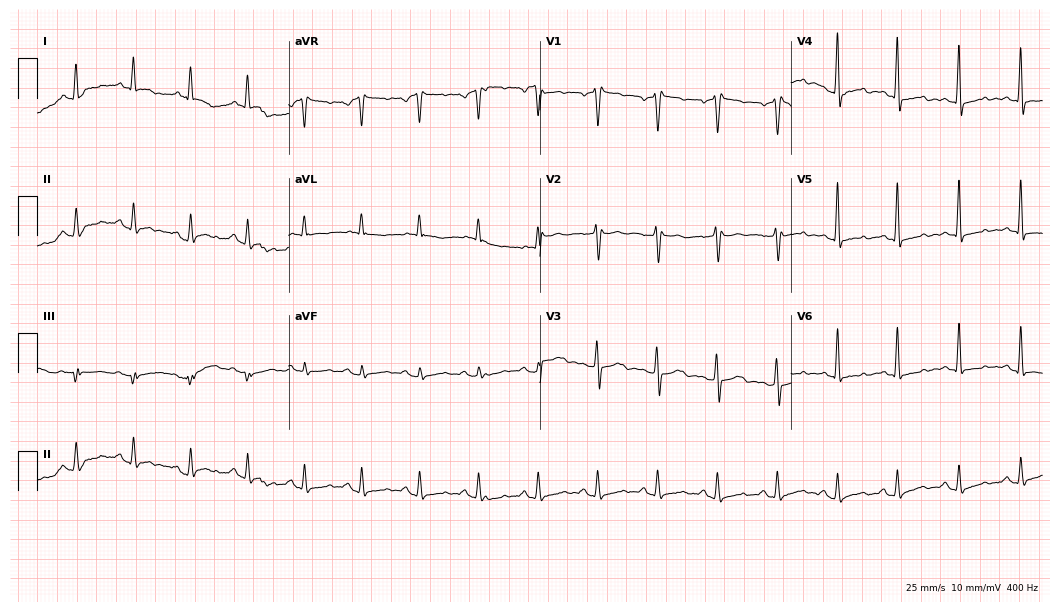
ECG — a 54-year-old male. Screened for six findings — first-degree AV block, right bundle branch block, left bundle branch block, sinus bradycardia, atrial fibrillation, sinus tachycardia — none is recorded. Other findings, if any, are not listed.